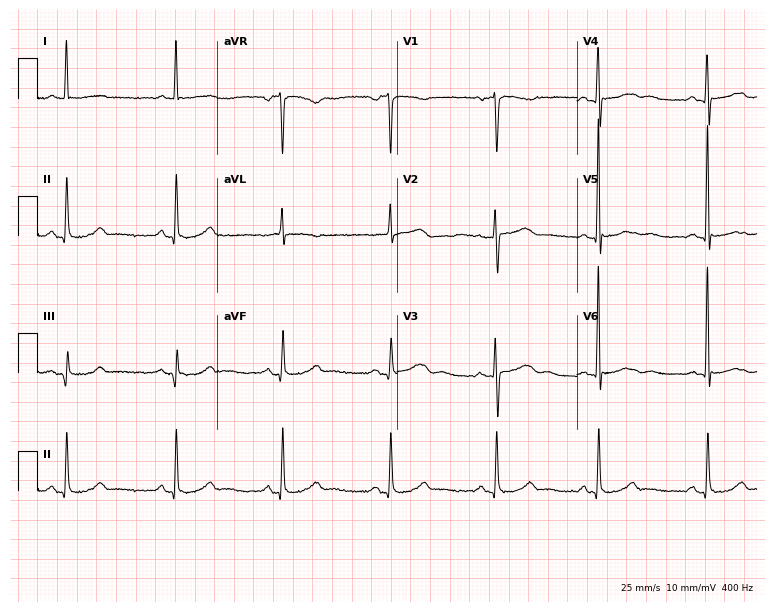
Resting 12-lead electrocardiogram (7.3-second recording at 400 Hz). Patient: a female, 70 years old. Read as a normal ECG.